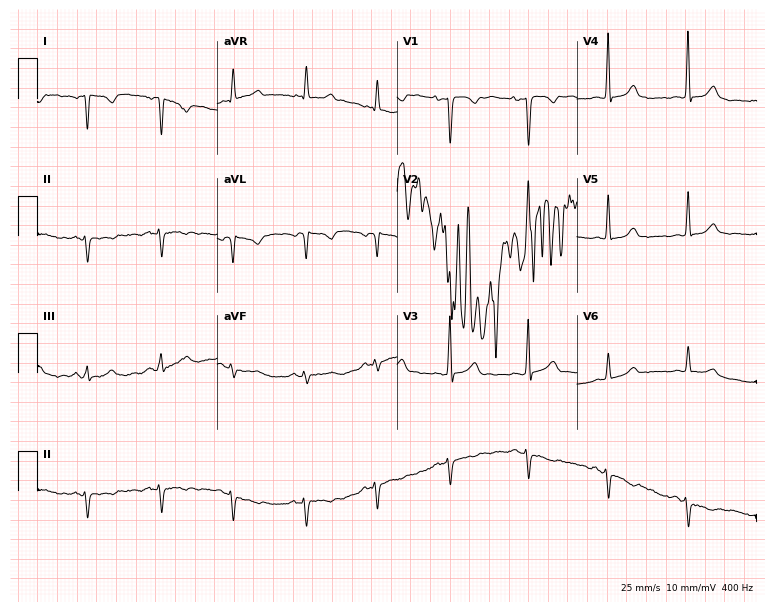
Electrocardiogram, a female patient, 44 years old. Of the six screened findings (first-degree AV block, right bundle branch block, left bundle branch block, sinus bradycardia, atrial fibrillation, sinus tachycardia), none is recorded.